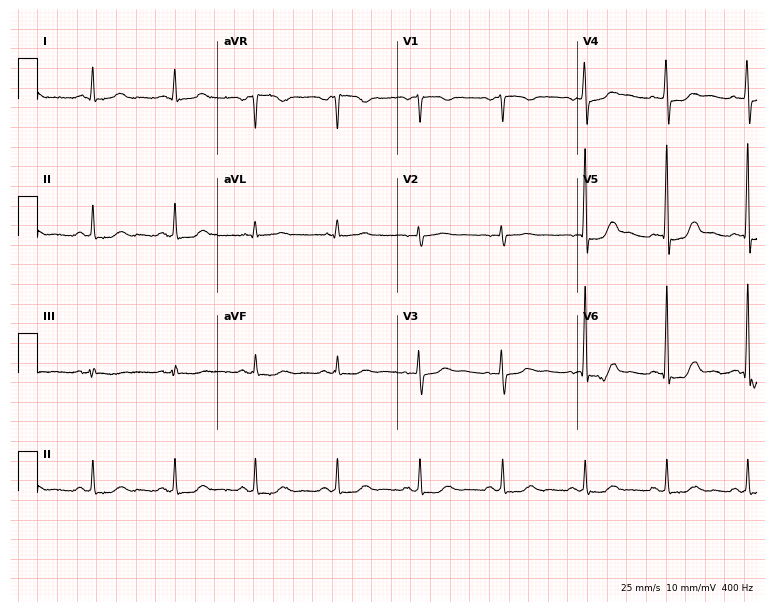
12-lead ECG (7.3-second recording at 400 Hz) from a 62-year-old female. Labelled as a normal ECG.